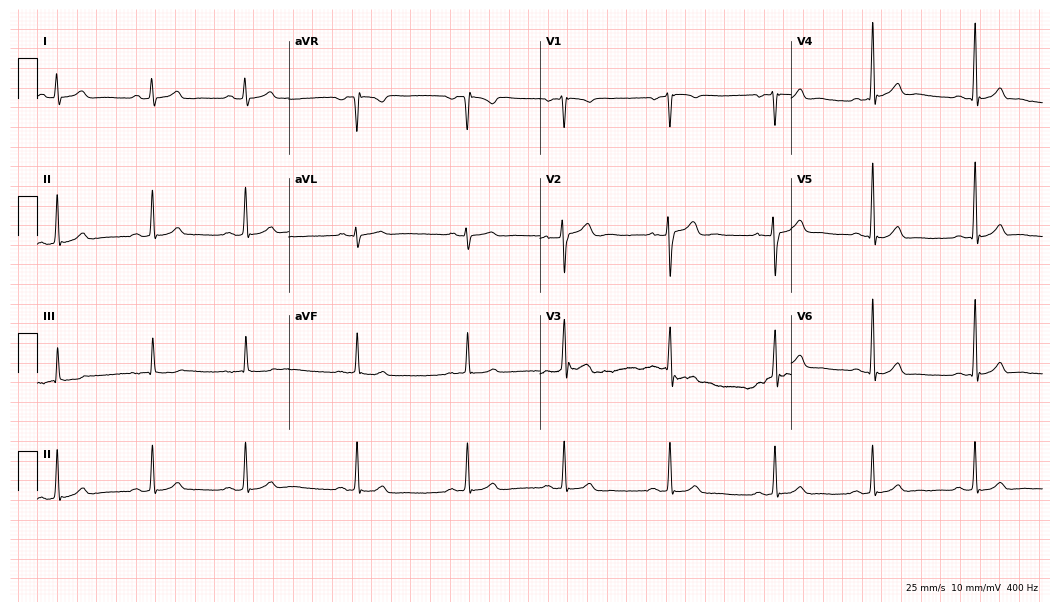
Electrocardiogram, a male, 19 years old. Overall reading on record: normal ECG.